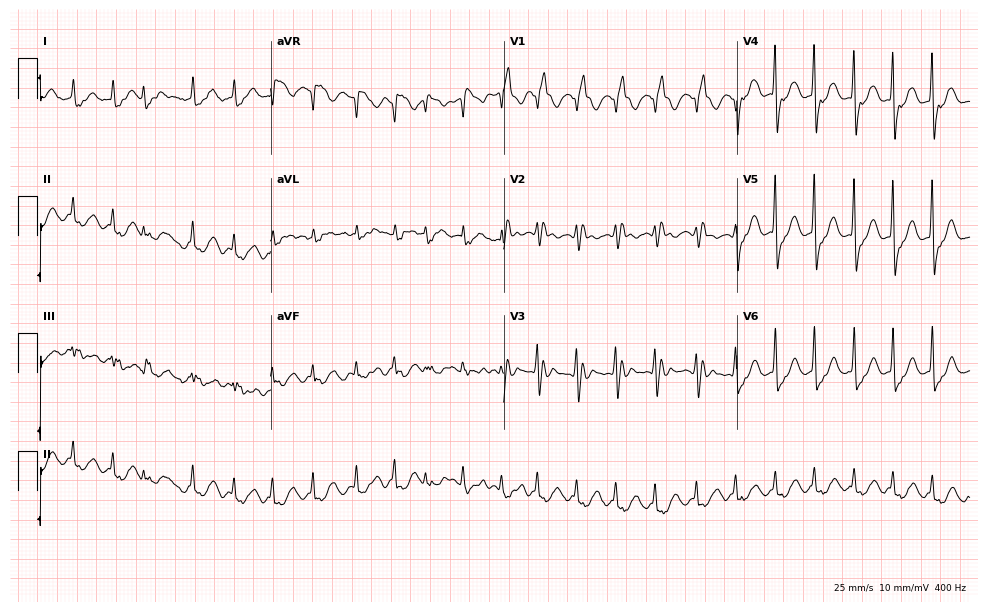
12-lead ECG from a 75-year-old male. Screened for six findings — first-degree AV block, right bundle branch block, left bundle branch block, sinus bradycardia, atrial fibrillation, sinus tachycardia — none is recorded. Other findings, if any, are not listed.